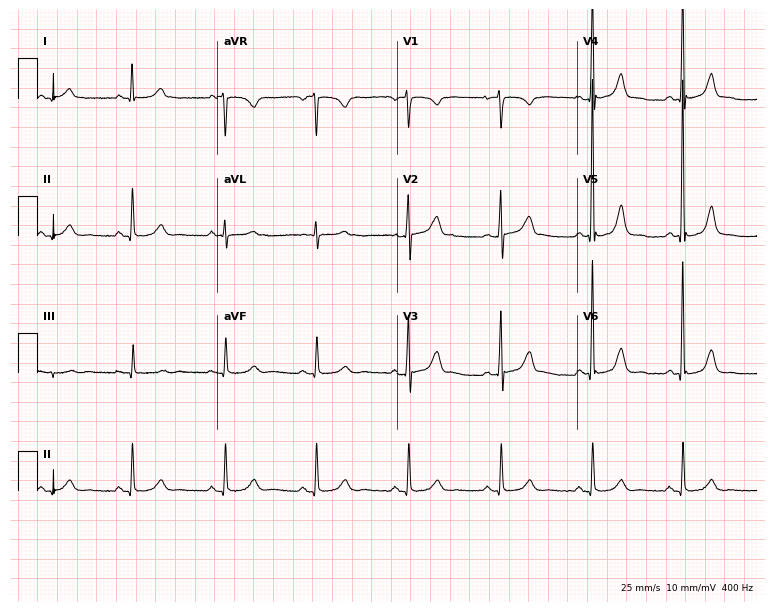
12-lead ECG from a 65-year-old female patient (7.3-second recording at 400 Hz). No first-degree AV block, right bundle branch block, left bundle branch block, sinus bradycardia, atrial fibrillation or sinus tachycardia recorded for this tracing. Other findings, if any, are not listed.